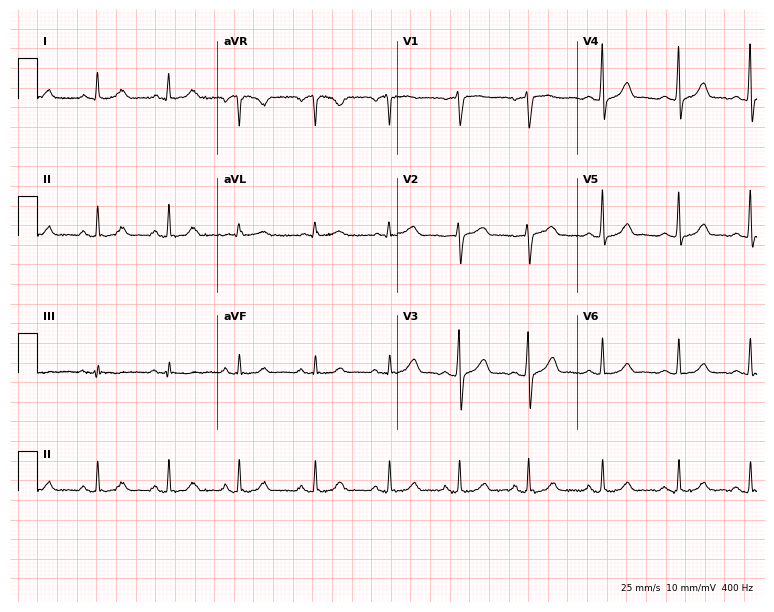
12-lead ECG from a 33-year-old female patient. Recorded interpretation: within normal limits.